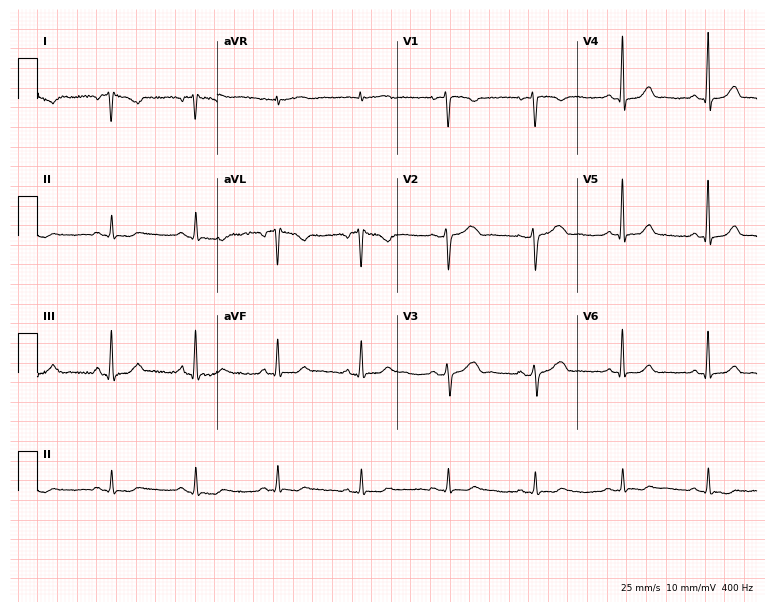
12-lead ECG from a female, 40 years old. No first-degree AV block, right bundle branch block, left bundle branch block, sinus bradycardia, atrial fibrillation or sinus tachycardia recorded for this tracing. Other findings, if any, are not listed.